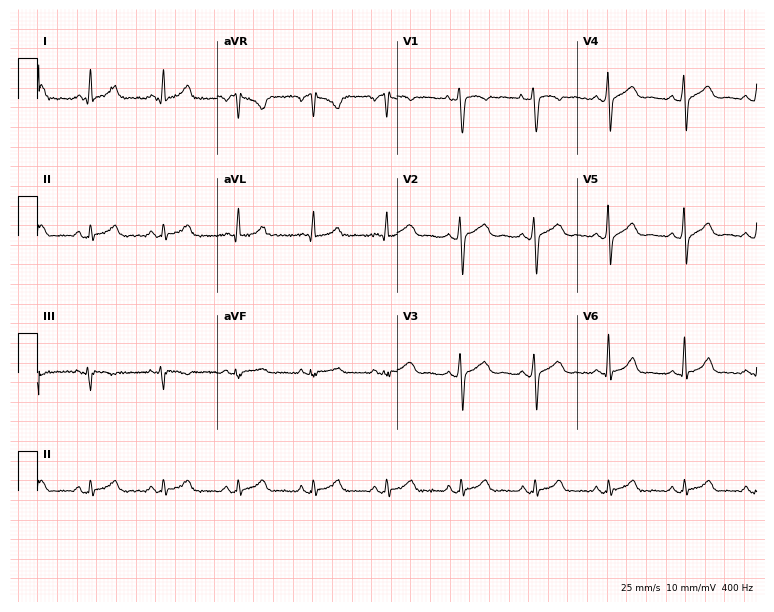
12-lead ECG (7.3-second recording at 400 Hz) from a male patient, 79 years old. Labelled as a normal ECG.